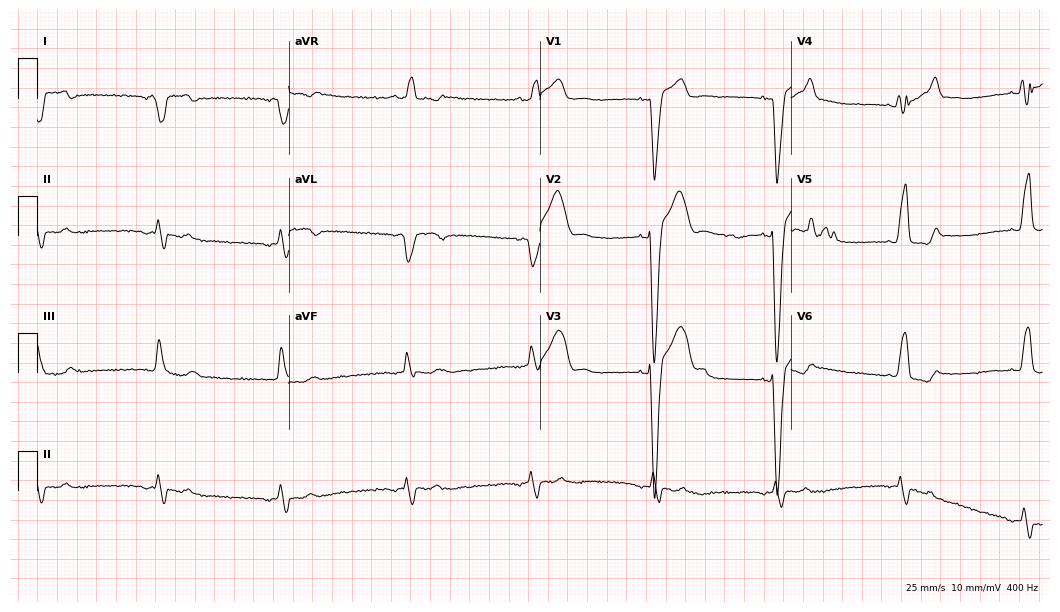
12-lead ECG from a male, 51 years old. Screened for six findings — first-degree AV block, right bundle branch block (RBBB), left bundle branch block (LBBB), sinus bradycardia, atrial fibrillation (AF), sinus tachycardia — none is recorded.